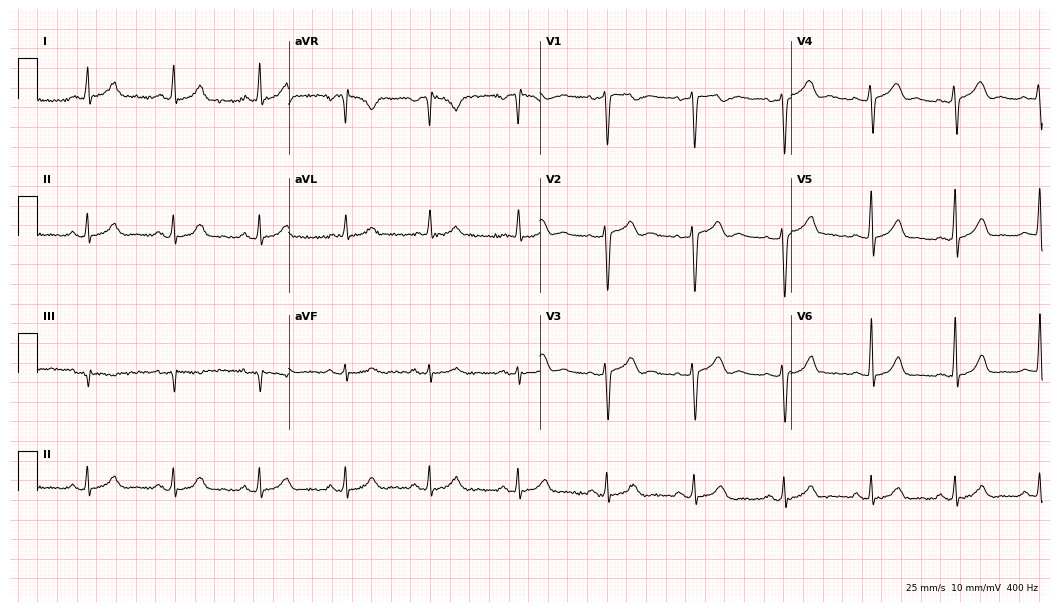
Resting 12-lead electrocardiogram. Patient: a 39-year-old woman. Read as a normal ECG.